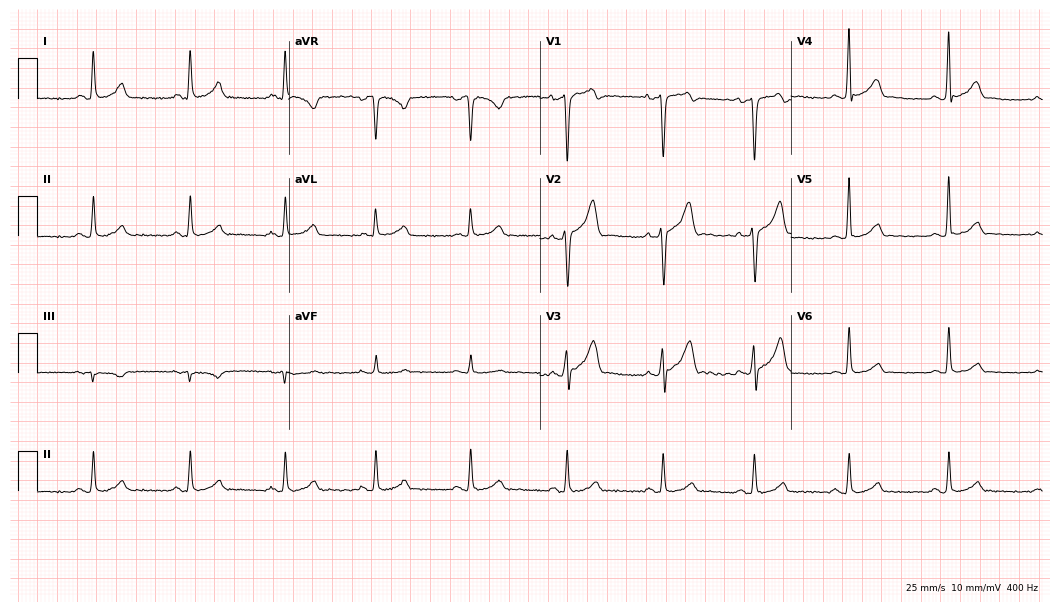
Resting 12-lead electrocardiogram. Patient: a 45-year-old man. Read as a normal ECG.